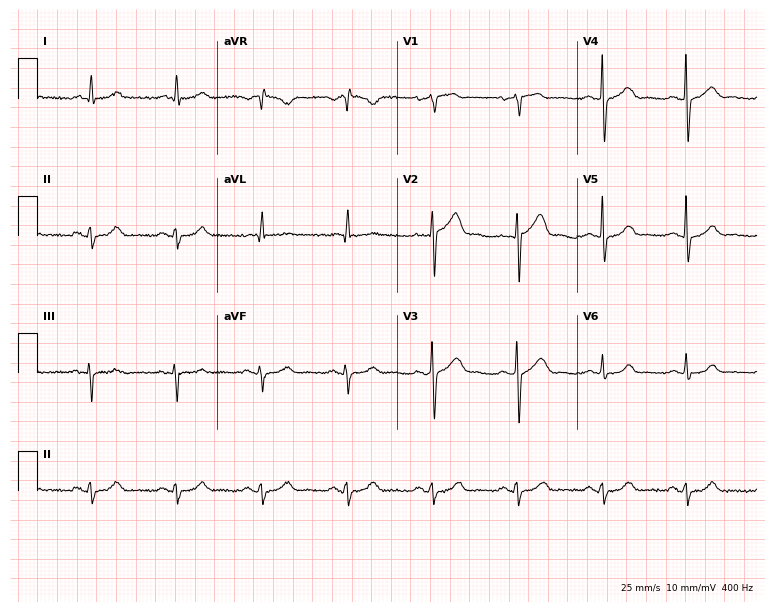
12-lead ECG from a 62-year-old male. No first-degree AV block, right bundle branch block, left bundle branch block, sinus bradycardia, atrial fibrillation or sinus tachycardia recorded for this tracing.